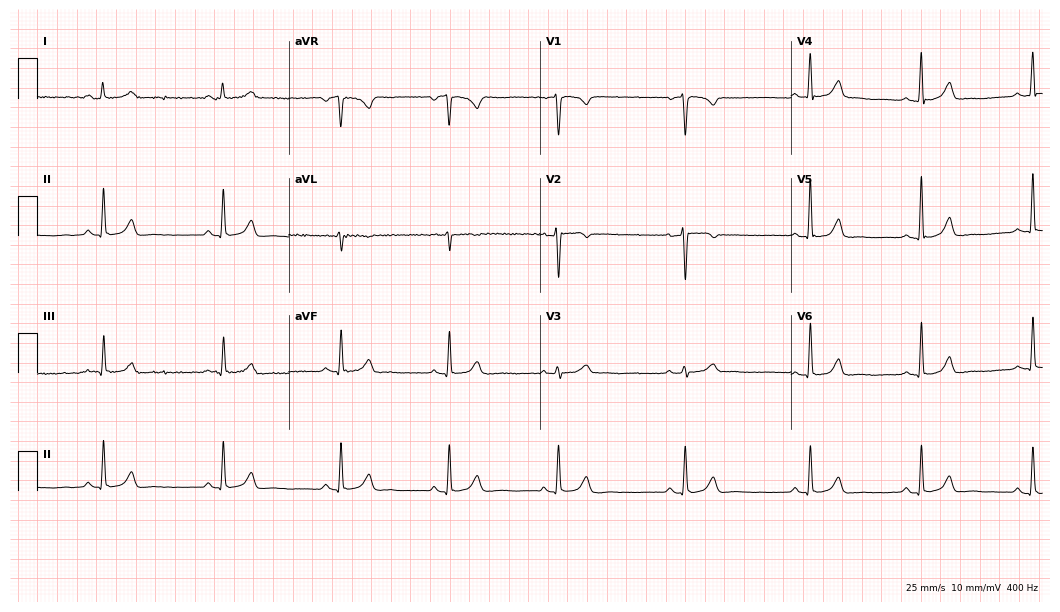
Electrocardiogram (10.2-second recording at 400 Hz), a 27-year-old female patient. Overall reading on record: normal ECG.